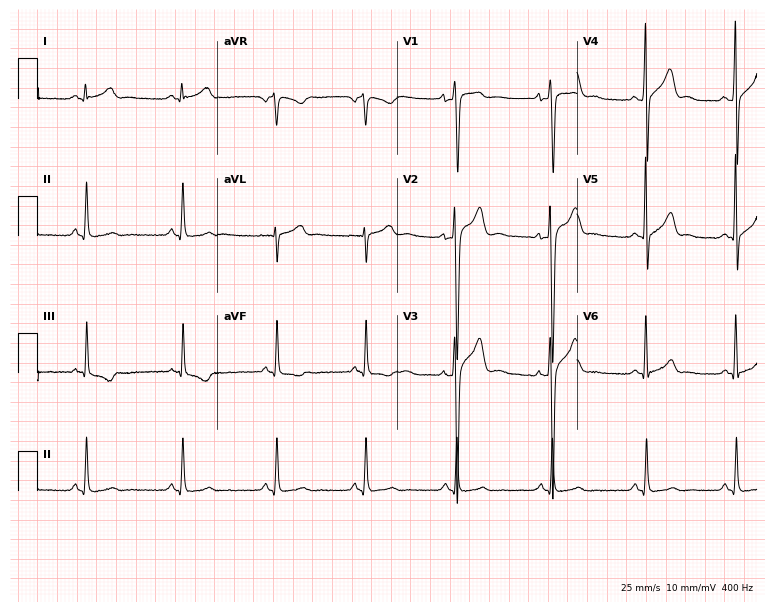
Electrocardiogram (7.3-second recording at 400 Hz), a 21-year-old man. Of the six screened findings (first-degree AV block, right bundle branch block, left bundle branch block, sinus bradycardia, atrial fibrillation, sinus tachycardia), none is recorded.